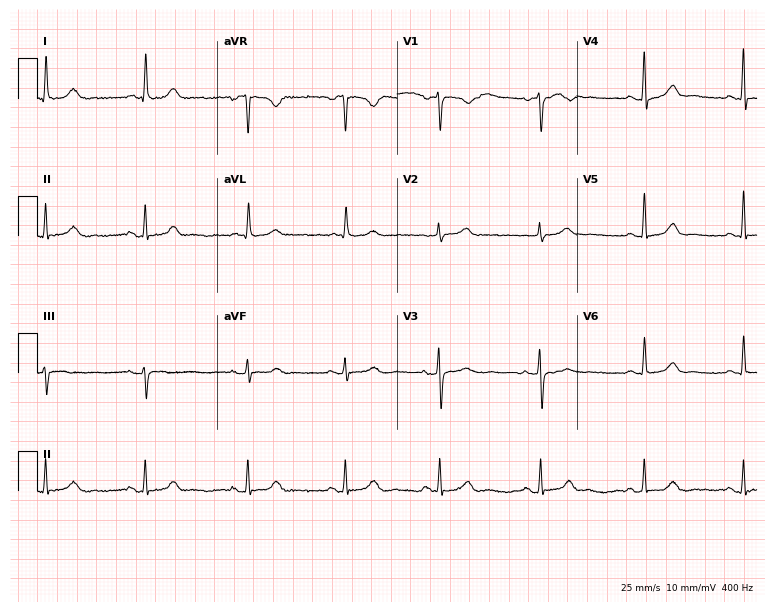
ECG — a 48-year-old woman. Labelled as a normal ECG.